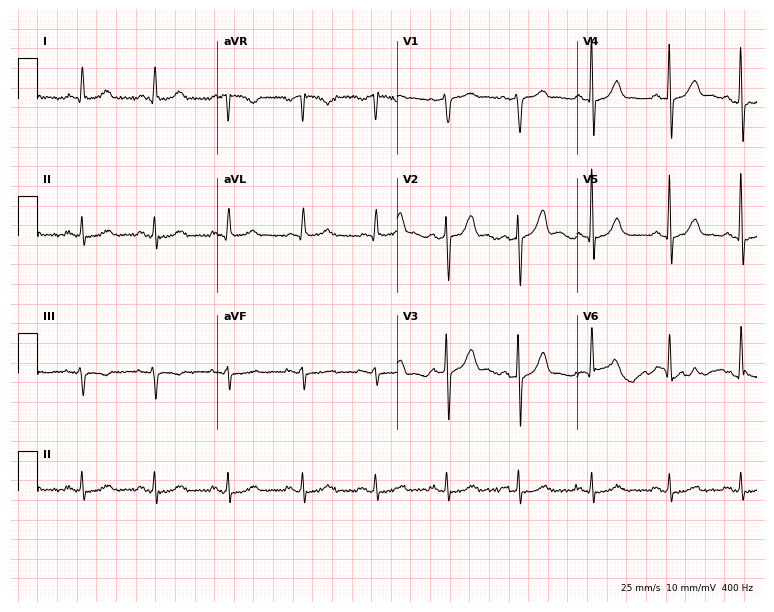
Electrocardiogram, a 56-year-old male. Of the six screened findings (first-degree AV block, right bundle branch block (RBBB), left bundle branch block (LBBB), sinus bradycardia, atrial fibrillation (AF), sinus tachycardia), none is recorded. Findings outside these six are not listed.